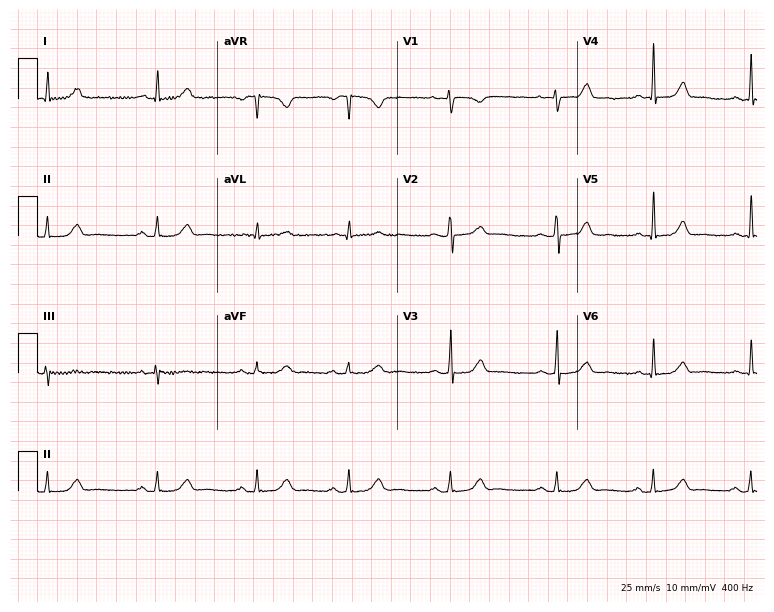
ECG — a female, 40 years old. Labelled as a normal ECG.